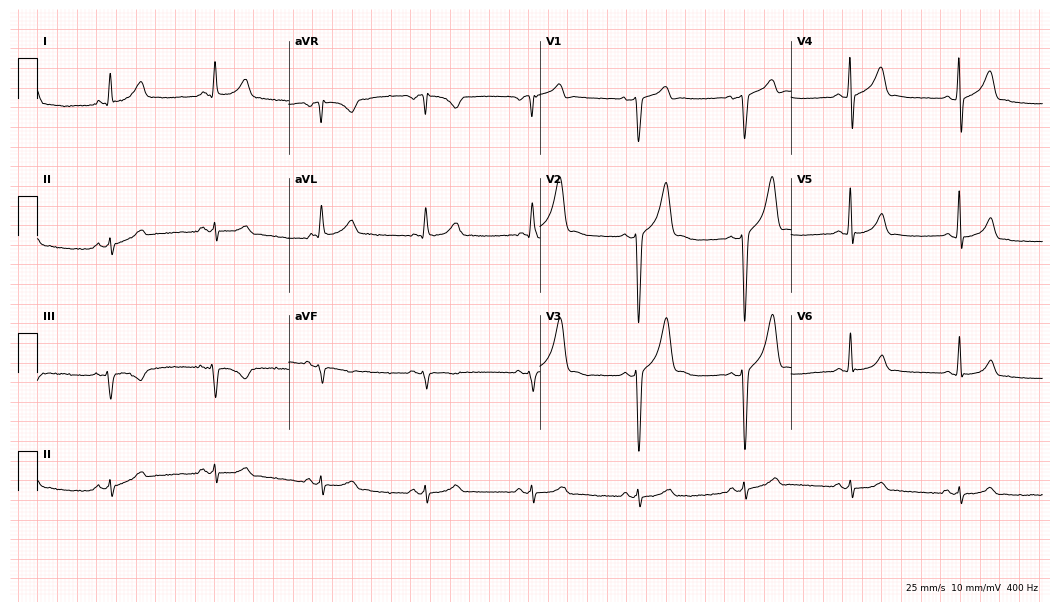
Resting 12-lead electrocardiogram (10.2-second recording at 400 Hz). Patient: a 38-year-old male. Read as a normal ECG.